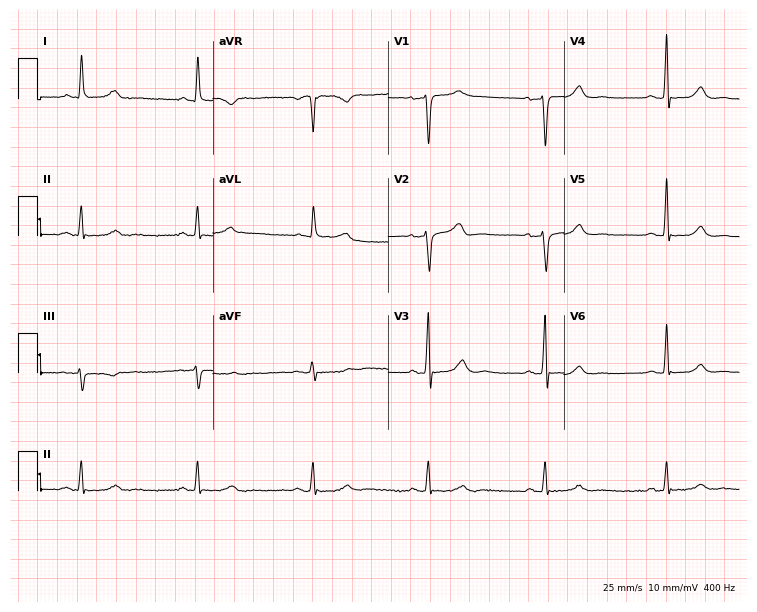
Standard 12-lead ECG recorded from a 59-year-old woman. Read as a normal ECG.